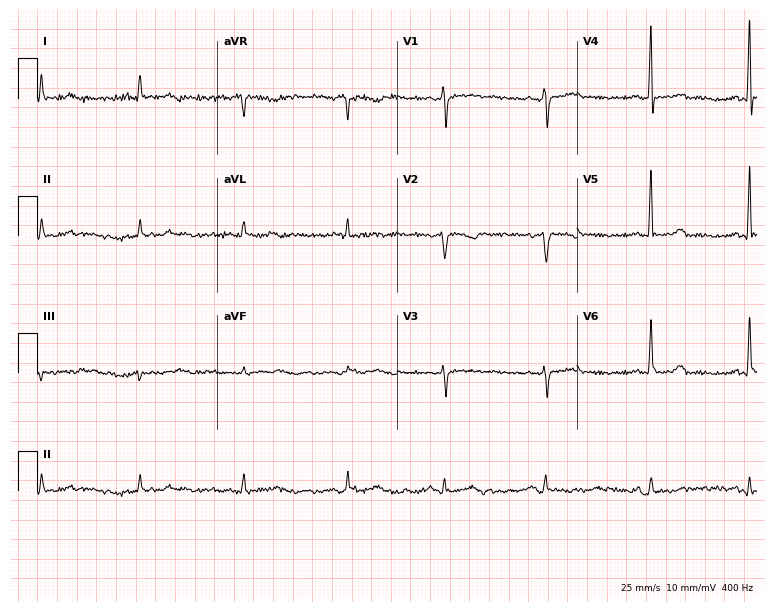
12-lead ECG from a 49-year-old woman. No first-degree AV block, right bundle branch block (RBBB), left bundle branch block (LBBB), sinus bradycardia, atrial fibrillation (AF) or sinus tachycardia recorded for this tracing.